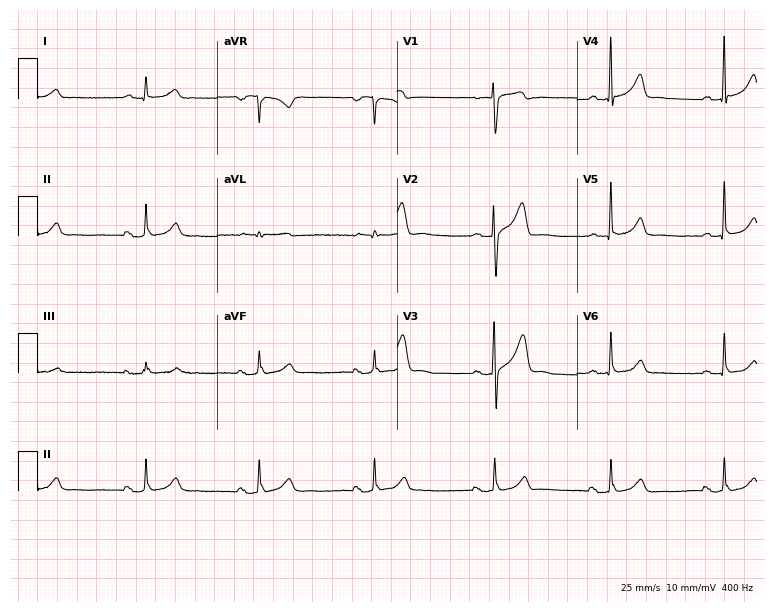
12-lead ECG from a 41-year-old male patient. Recorded interpretation: within normal limits.